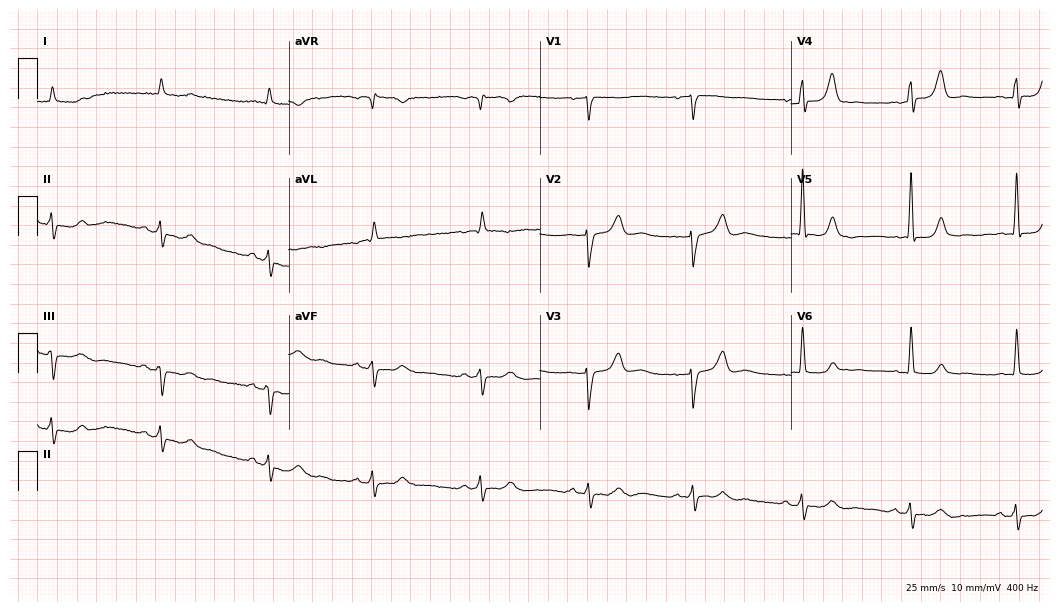
Electrocardiogram (10.2-second recording at 400 Hz), an 83-year-old male patient. Of the six screened findings (first-degree AV block, right bundle branch block (RBBB), left bundle branch block (LBBB), sinus bradycardia, atrial fibrillation (AF), sinus tachycardia), none is recorded.